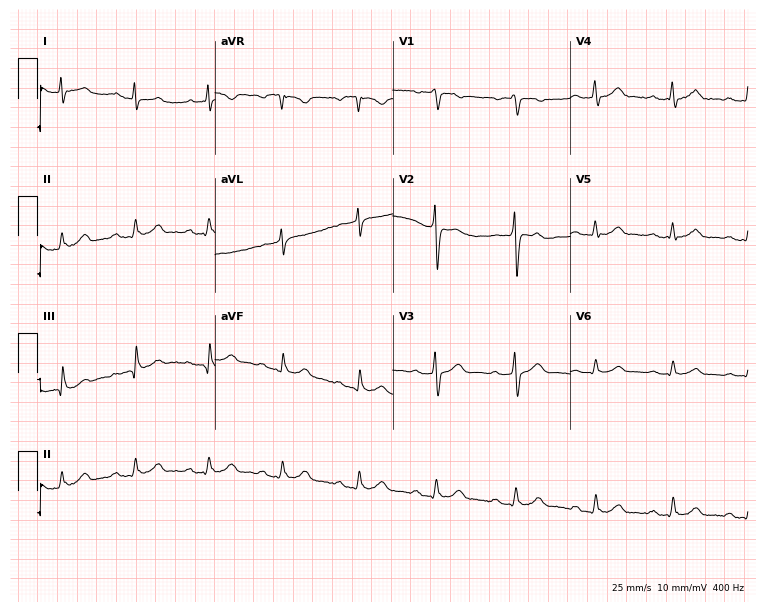
12-lead ECG from a male patient, 49 years old (7.2-second recording at 400 Hz). No first-degree AV block, right bundle branch block (RBBB), left bundle branch block (LBBB), sinus bradycardia, atrial fibrillation (AF) or sinus tachycardia recorded for this tracing. Other findings, if any, are not listed.